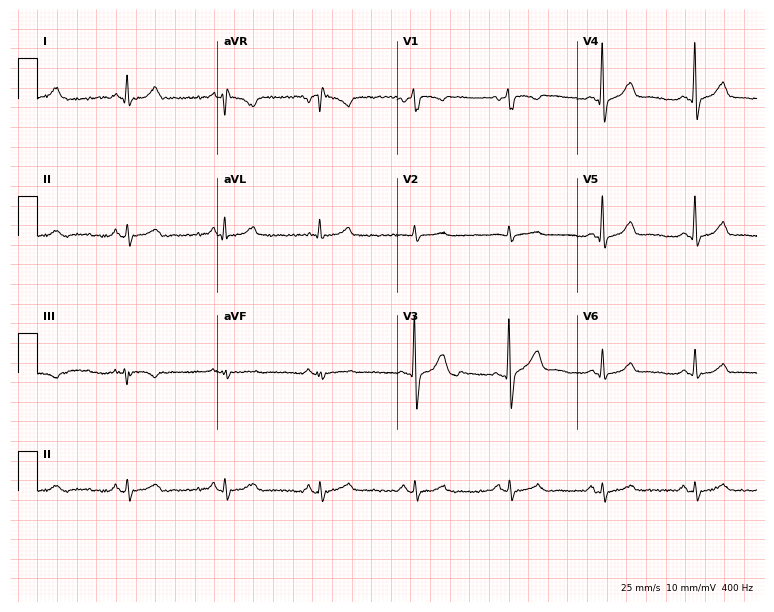
ECG — a 62-year-old man. Labelled as a normal ECG.